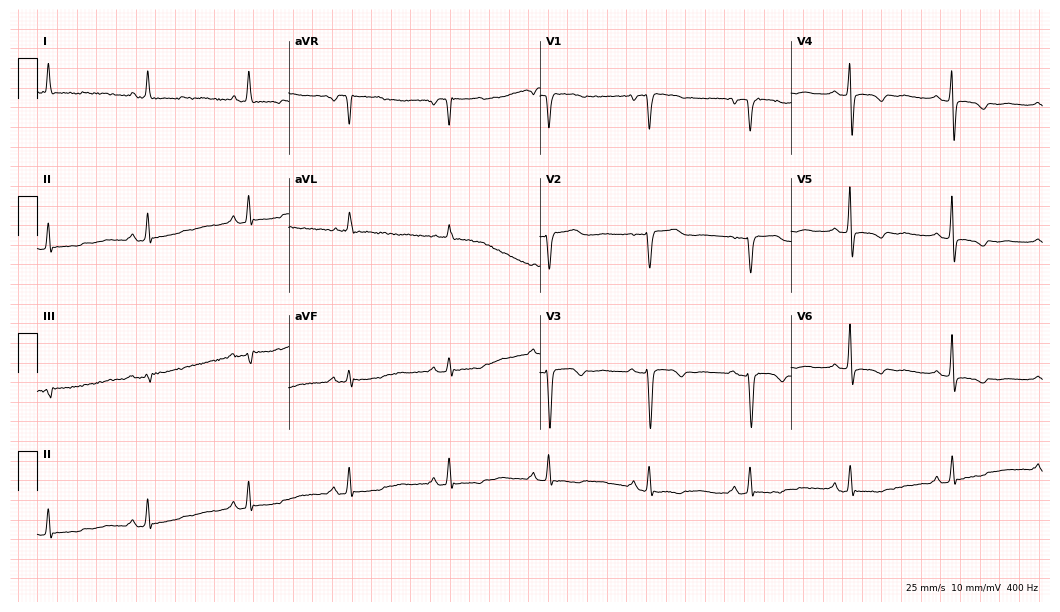
12-lead ECG from a 67-year-old woman (10.2-second recording at 400 Hz). No first-degree AV block, right bundle branch block, left bundle branch block, sinus bradycardia, atrial fibrillation or sinus tachycardia recorded for this tracing. Other findings, if any, are not listed.